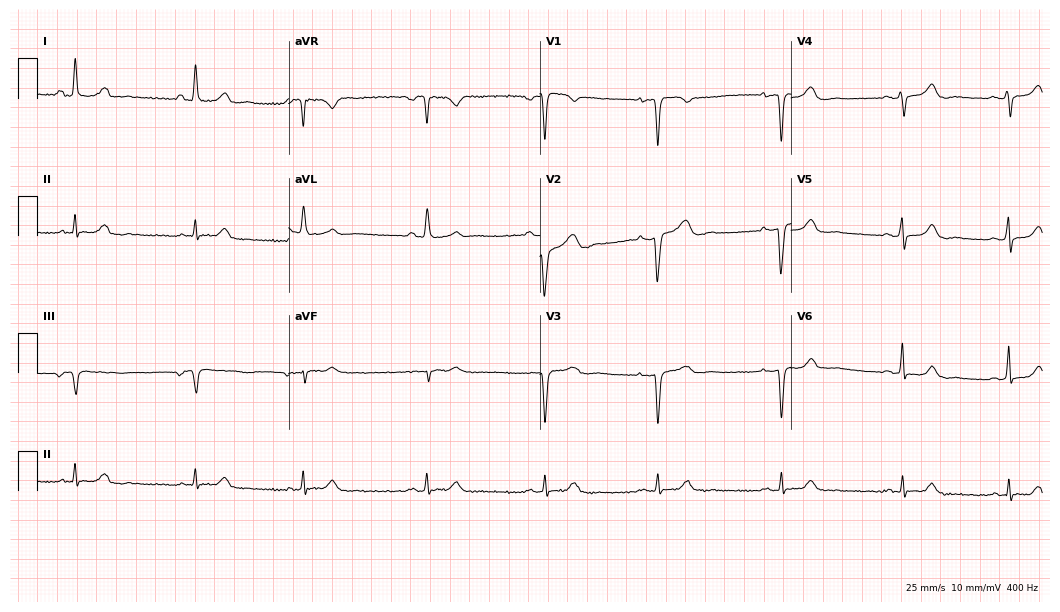
ECG (10.2-second recording at 400 Hz) — a woman, 44 years old. Screened for six findings — first-degree AV block, right bundle branch block, left bundle branch block, sinus bradycardia, atrial fibrillation, sinus tachycardia — none is recorded.